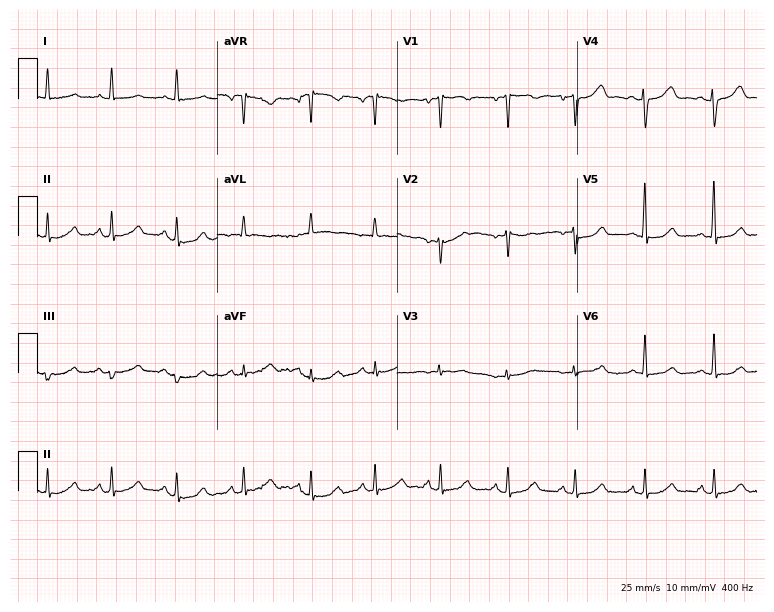
Electrocardiogram (7.3-second recording at 400 Hz), a 46-year-old woman. Of the six screened findings (first-degree AV block, right bundle branch block (RBBB), left bundle branch block (LBBB), sinus bradycardia, atrial fibrillation (AF), sinus tachycardia), none is recorded.